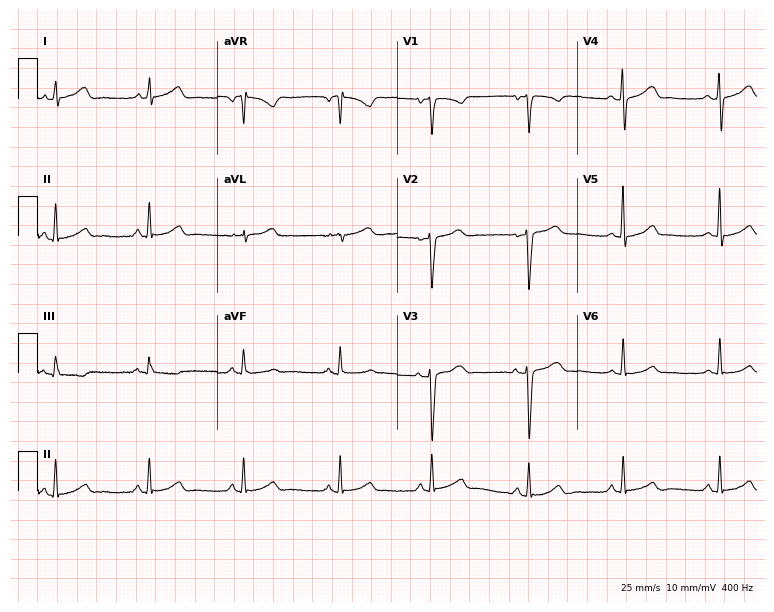
ECG — a 25-year-old female patient. Labelled as a normal ECG.